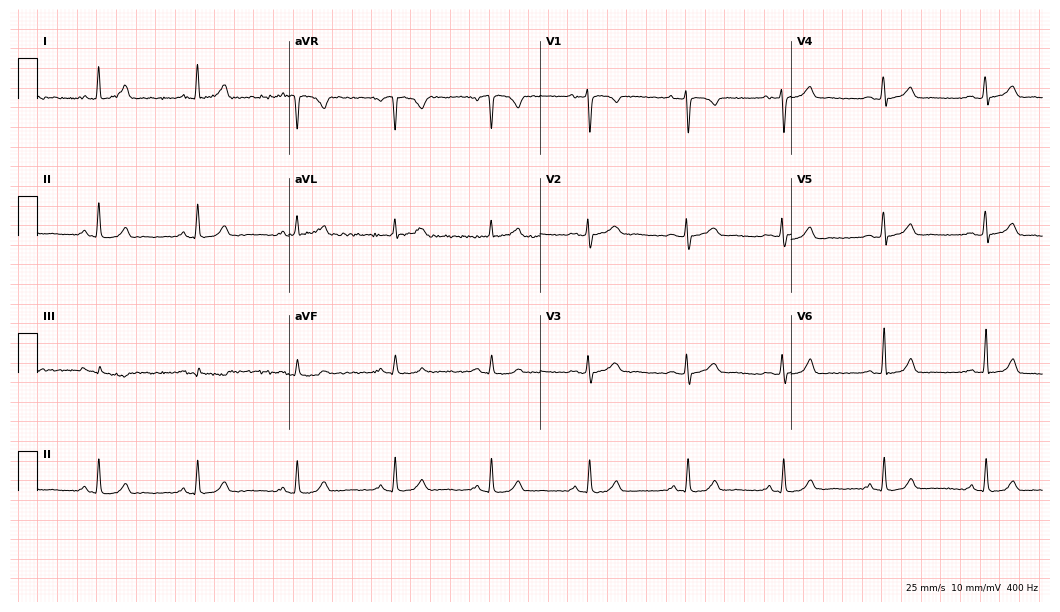
Electrocardiogram (10.2-second recording at 400 Hz), a female, 37 years old. Overall reading on record: normal ECG.